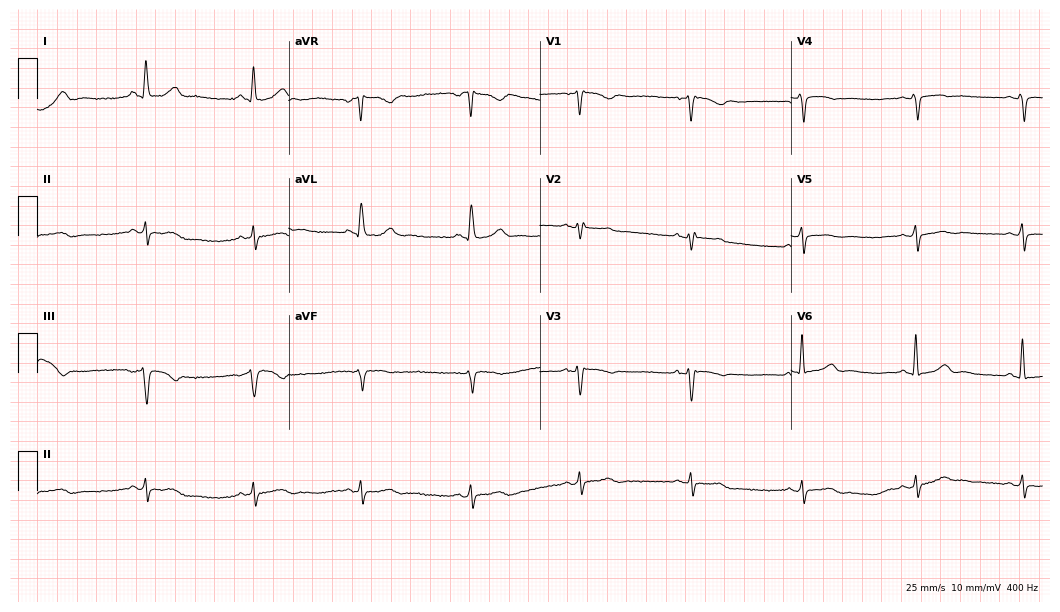
ECG — a 57-year-old female patient. Labelled as a normal ECG.